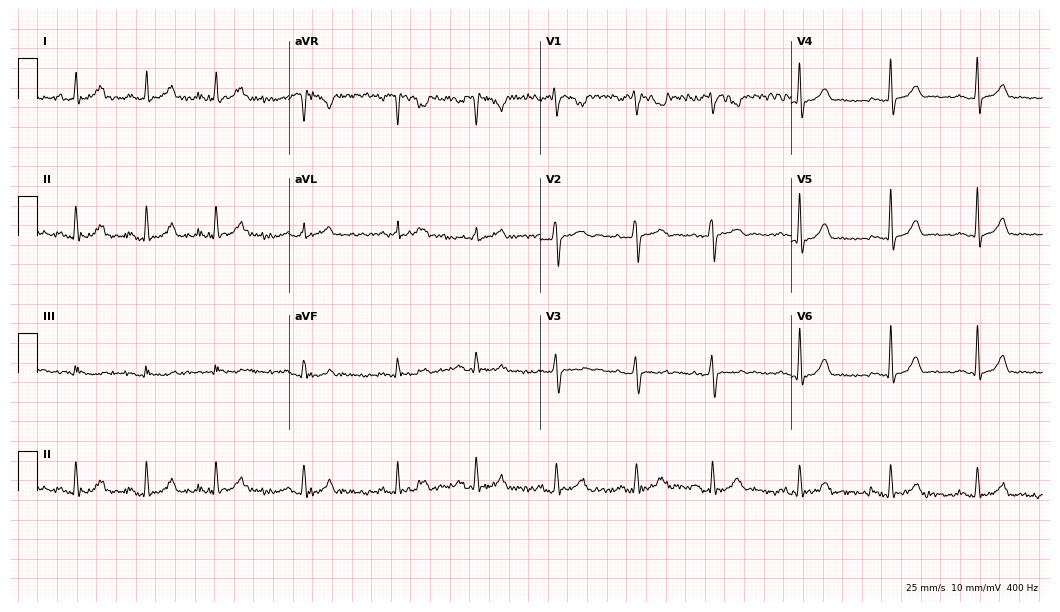
ECG (10.2-second recording at 400 Hz) — a 26-year-old female patient. Labelled as a normal ECG.